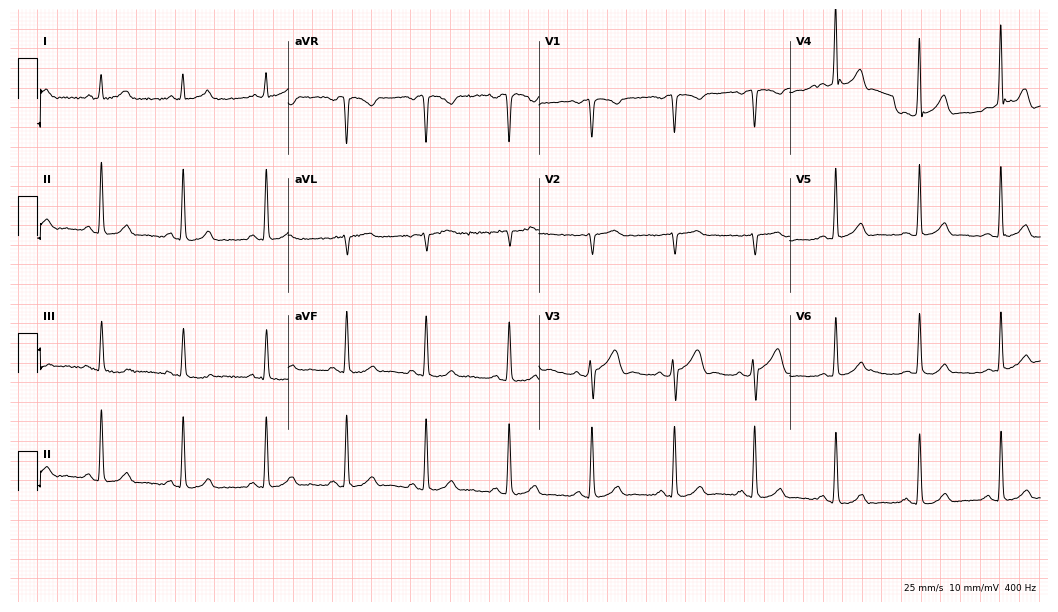
Resting 12-lead electrocardiogram (10.2-second recording at 400 Hz). Patient: a 42-year-old male. Read as a normal ECG.